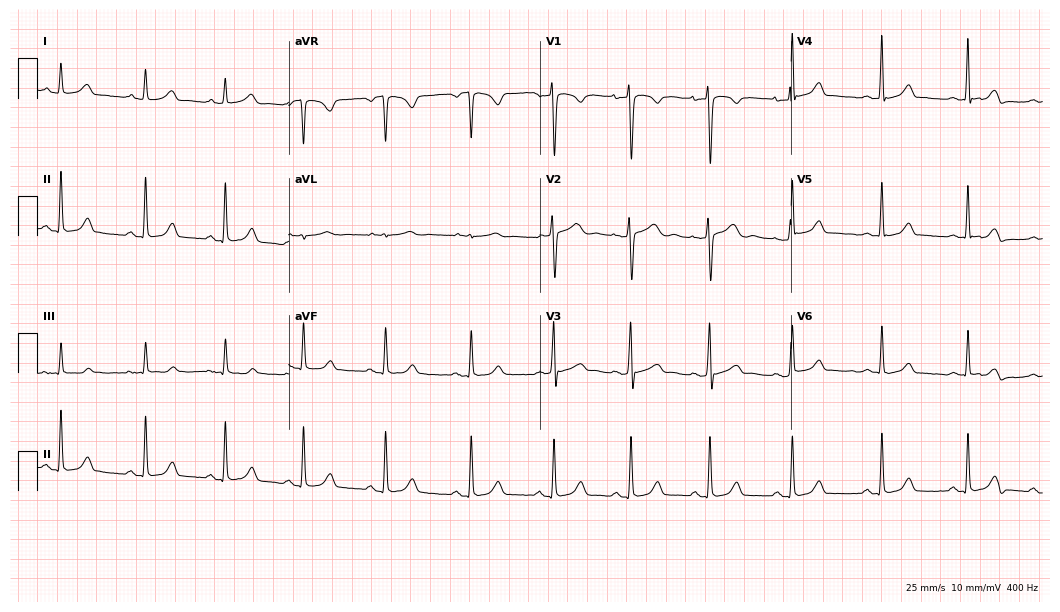
12-lead ECG from a female, 23 years old. Labelled as a normal ECG.